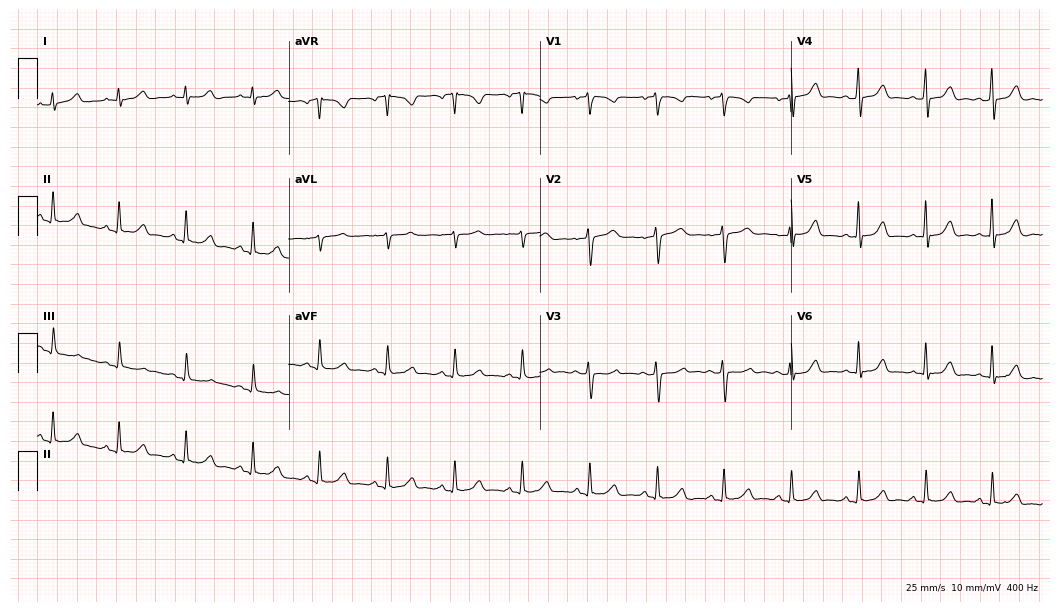
Electrocardiogram, a 55-year-old female patient. Of the six screened findings (first-degree AV block, right bundle branch block (RBBB), left bundle branch block (LBBB), sinus bradycardia, atrial fibrillation (AF), sinus tachycardia), none is recorded.